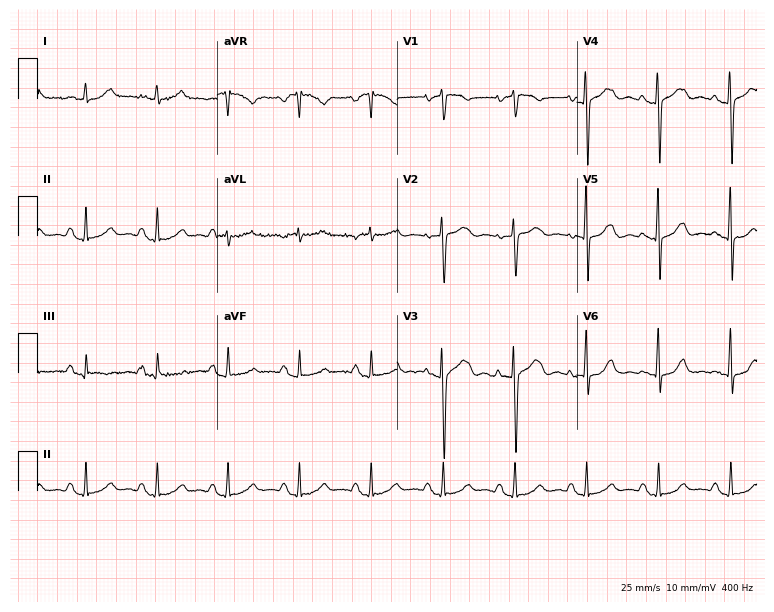
Resting 12-lead electrocardiogram. Patient: a female, 65 years old. None of these six findings is recorded: first-degree AV block, right bundle branch block, left bundle branch block, sinus bradycardia, atrial fibrillation, sinus tachycardia. Findings outside these six are not listed.